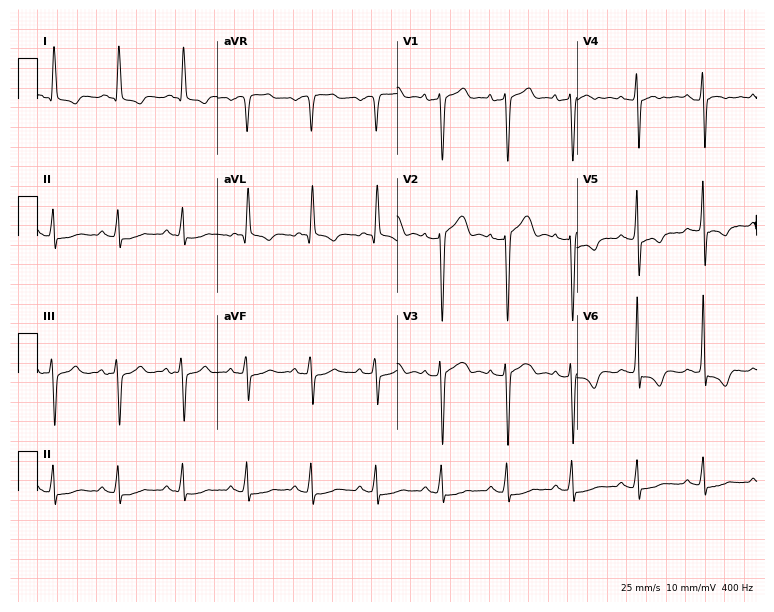
Electrocardiogram (7.3-second recording at 400 Hz), a 68-year-old male. Of the six screened findings (first-degree AV block, right bundle branch block, left bundle branch block, sinus bradycardia, atrial fibrillation, sinus tachycardia), none is recorded.